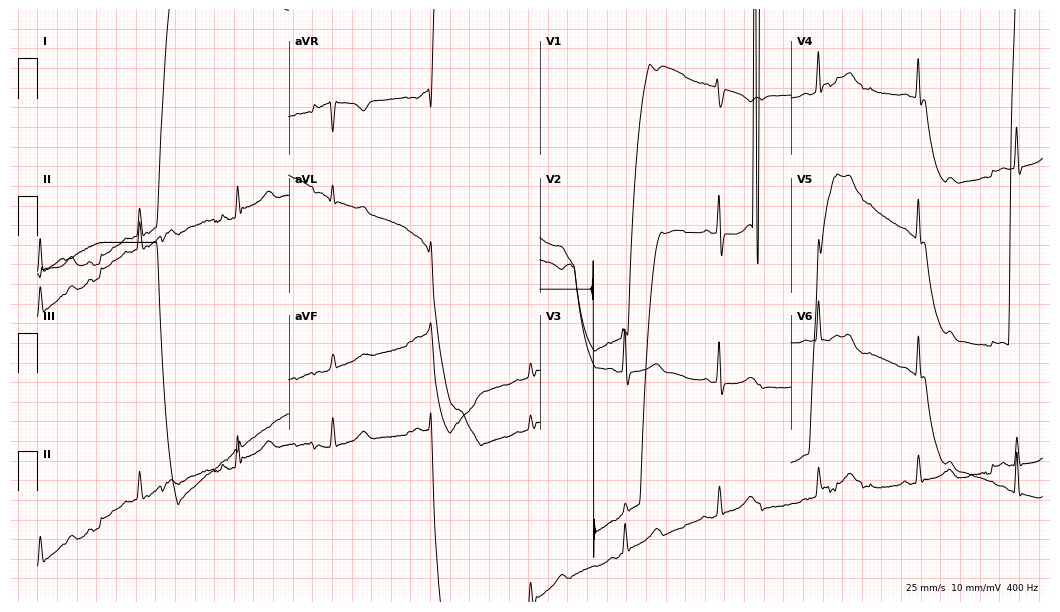
Standard 12-lead ECG recorded from a 38-year-old female patient (10.2-second recording at 400 Hz). None of these six findings is recorded: first-degree AV block, right bundle branch block, left bundle branch block, sinus bradycardia, atrial fibrillation, sinus tachycardia. Other findings, if any, are not listed.